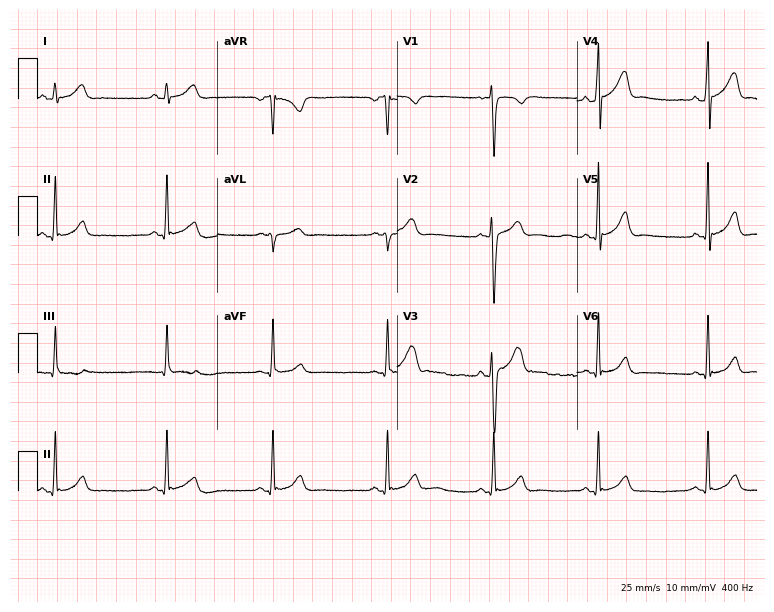
Electrocardiogram, a male, 28 years old. Overall reading on record: normal ECG.